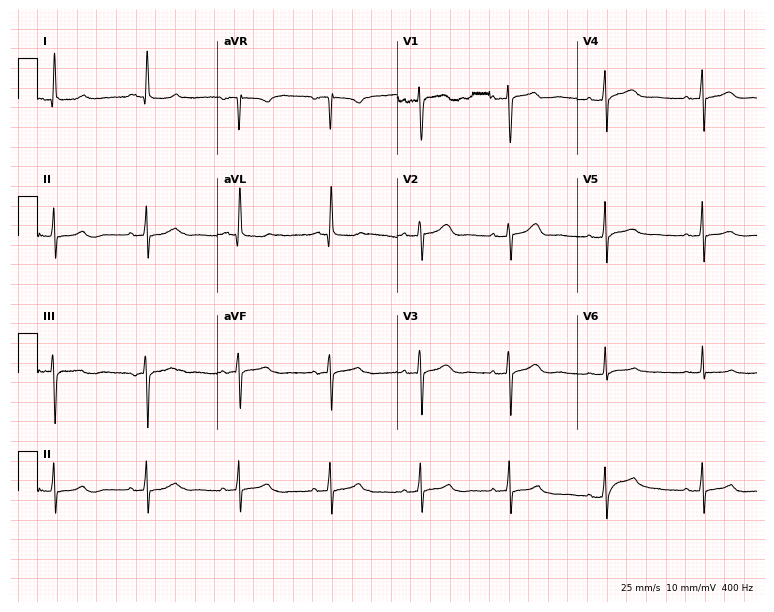
Electrocardiogram, a 69-year-old woman. Overall reading on record: normal ECG.